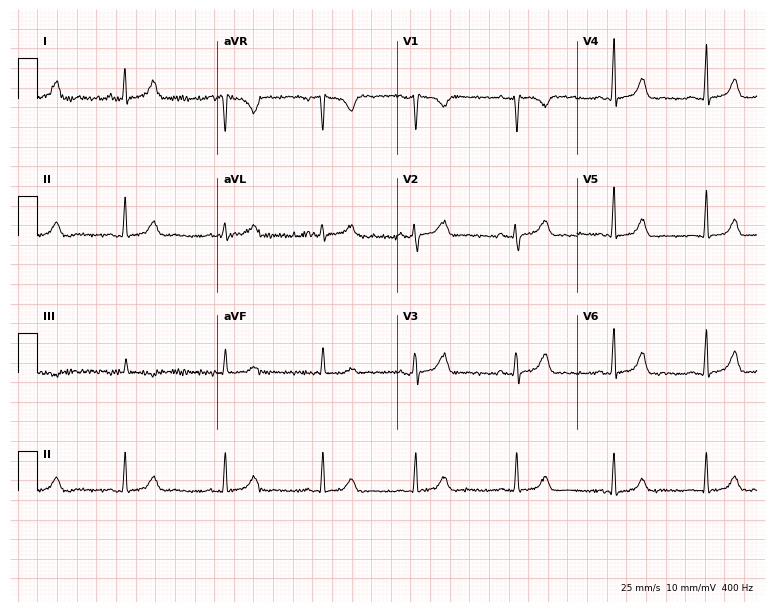
ECG (7.3-second recording at 400 Hz) — a 44-year-old woman. Labelled as a normal ECG.